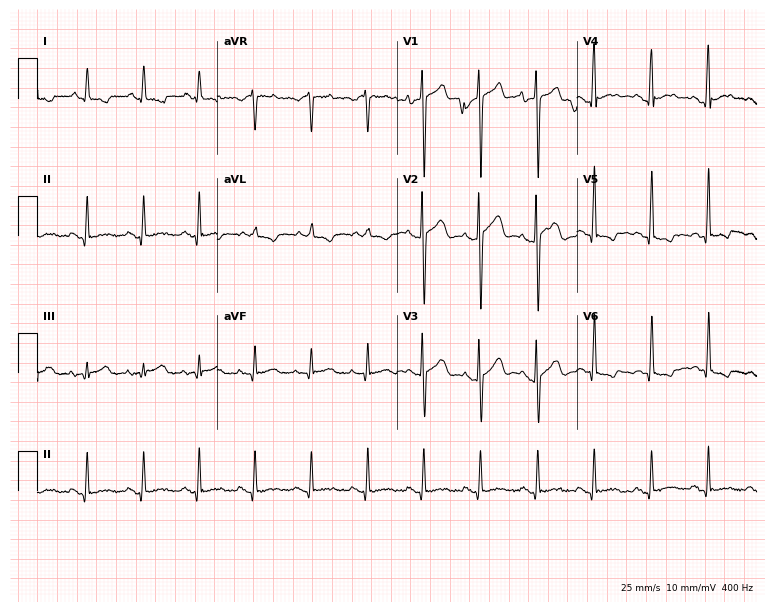
12-lead ECG from a male, 35 years old. Shows sinus tachycardia (a sinus rate of 100 beats per minute or more).